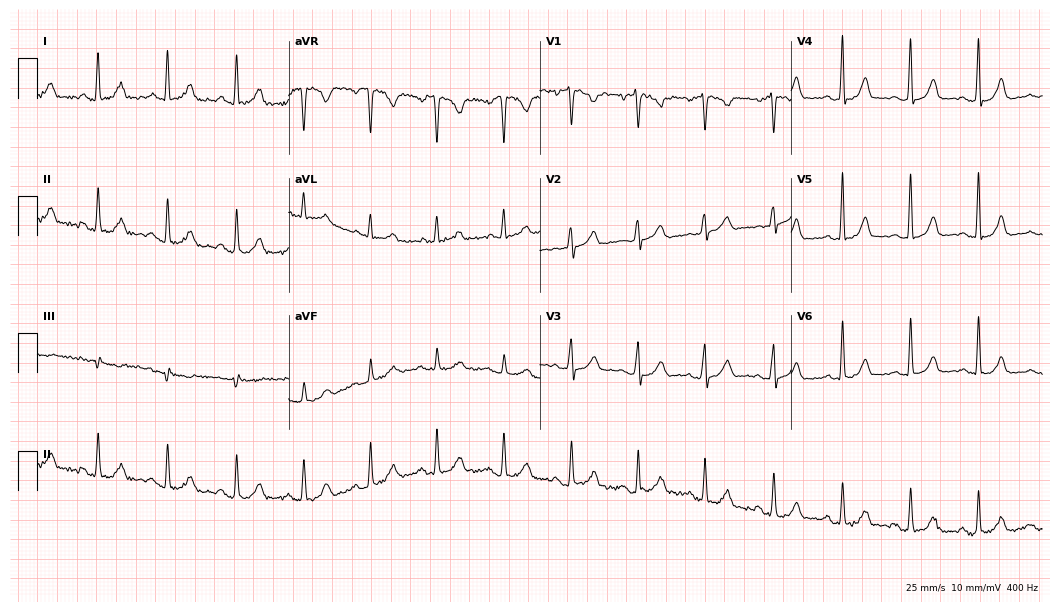
12-lead ECG from a woman, 53 years old. Recorded interpretation: within normal limits.